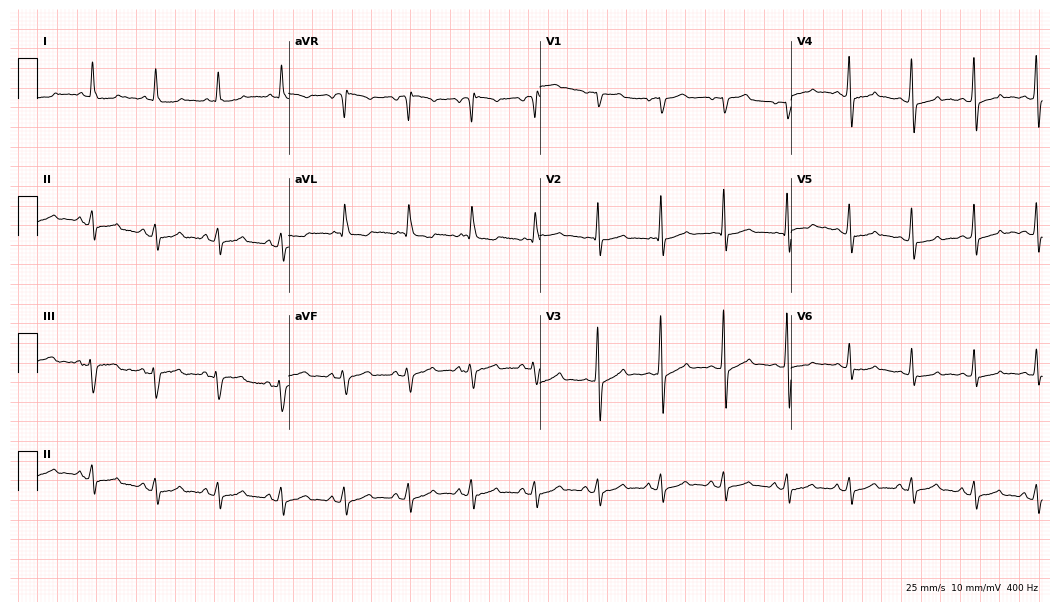
ECG (10.2-second recording at 400 Hz) — a 72-year-old male. Screened for six findings — first-degree AV block, right bundle branch block, left bundle branch block, sinus bradycardia, atrial fibrillation, sinus tachycardia — none is recorded.